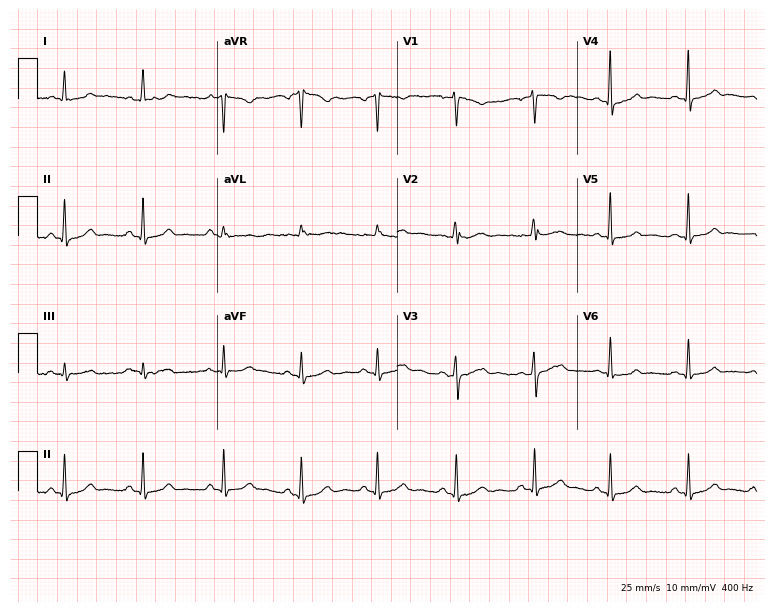
Electrocardiogram (7.3-second recording at 400 Hz), a 30-year-old female. Overall reading on record: normal ECG.